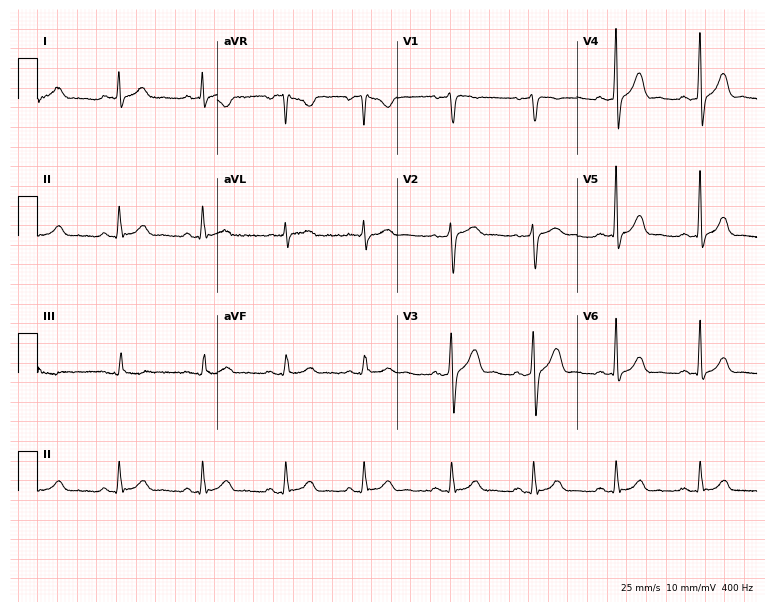
Electrocardiogram (7.3-second recording at 400 Hz), a 66-year-old male. Of the six screened findings (first-degree AV block, right bundle branch block, left bundle branch block, sinus bradycardia, atrial fibrillation, sinus tachycardia), none is recorded.